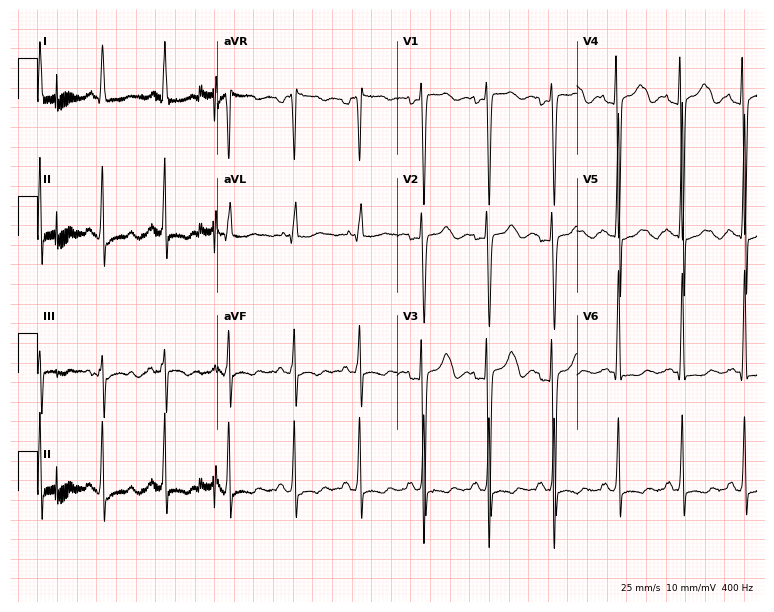
12-lead ECG from a female patient, 21 years old. No first-degree AV block, right bundle branch block, left bundle branch block, sinus bradycardia, atrial fibrillation or sinus tachycardia recorded for this tracing. Other findings, if any, are not listed.